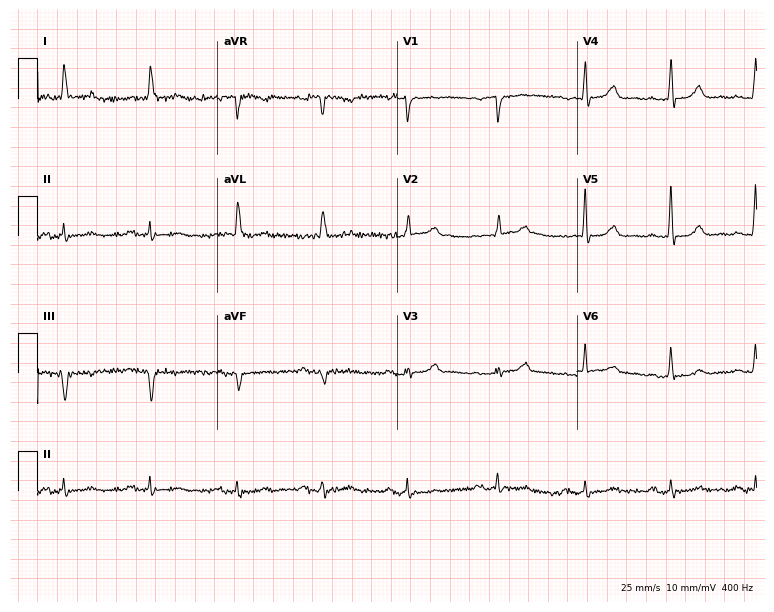
Standard 12-lead ECG recorded from an 80-year-old man (7.3-second recording at 400 Hz). None of these six findings is recorded: first-degree AV block, right bundle branch block, left bundle branch block, sinus bradycardia, atrial fibrillation, sinus tachycardia. Other findings, if any, are not listed.